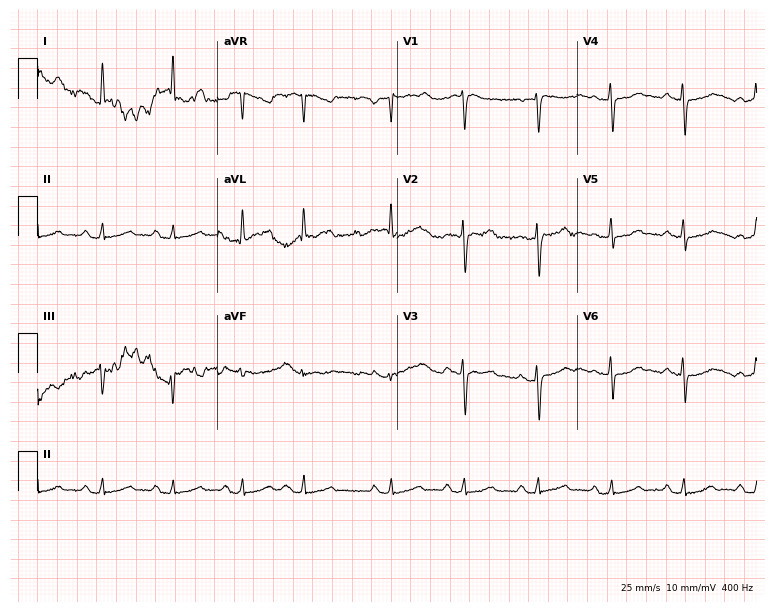
Electrocardiogram, a 52-year-old woman. Of the six screened findings (first-degree AV block, right bundle branch block, left bundle branch block, sinus bradycardia, atrial fibrillation, sinus tachycardia), none is recorded. Other findings, if any, are not listed.